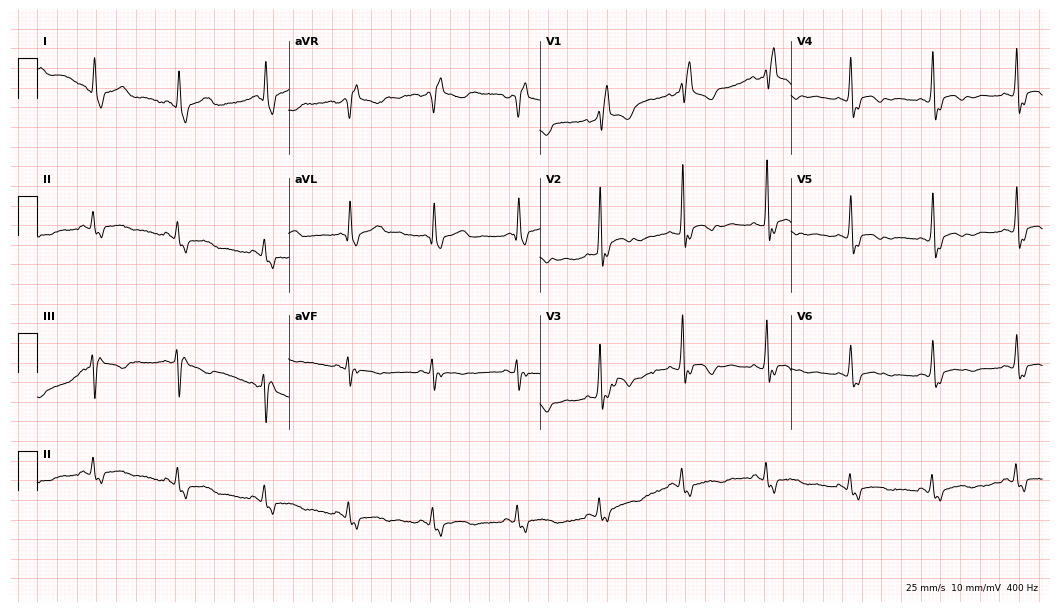
Electrocardiogram (10.2-second recording at 400 Hz), a female patient, 50 years old. Interpretation includes right bundle branch block.